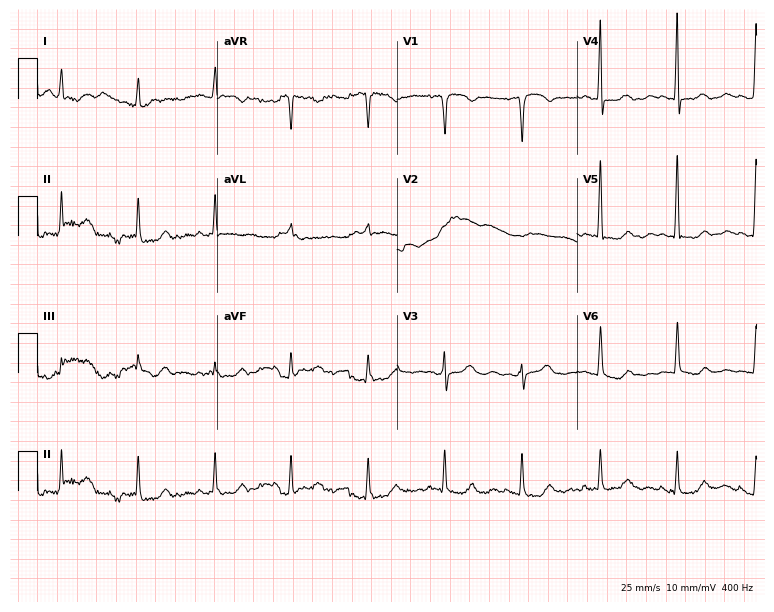
12-lead ECG from an 81-year-old woman. Screened for six findings — first-degree AV block, right bundle branch block, left bundle branch block, sinus bradycardia, atrial fibrillation, sinus tachycardia — none is recorded. Findings outside these six are not listed.